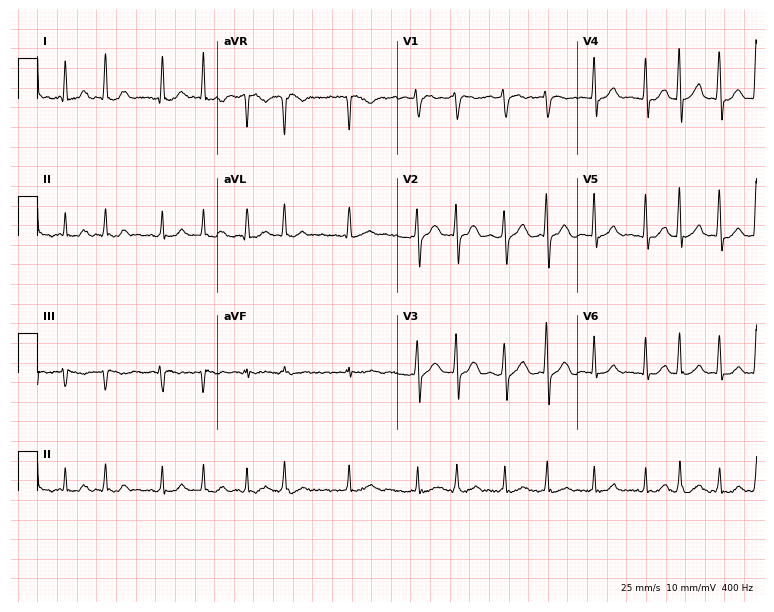
Resting 12-lead electrocardiogram (7.3-second recording at 400 Hz). Patient: a male, 44 years old. The tracing shows atrial fibrillation.